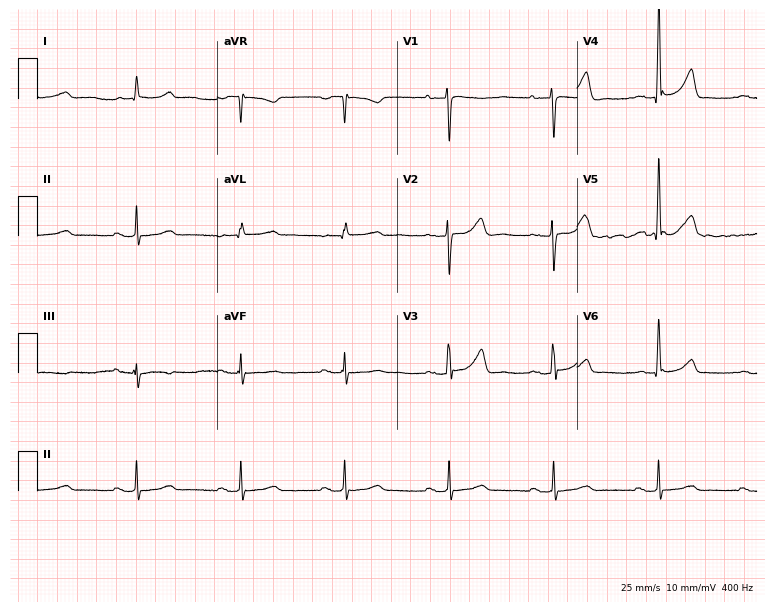
Electrocardiogram, a 68-year-old female patient. Overall reading on record: normal ECG.